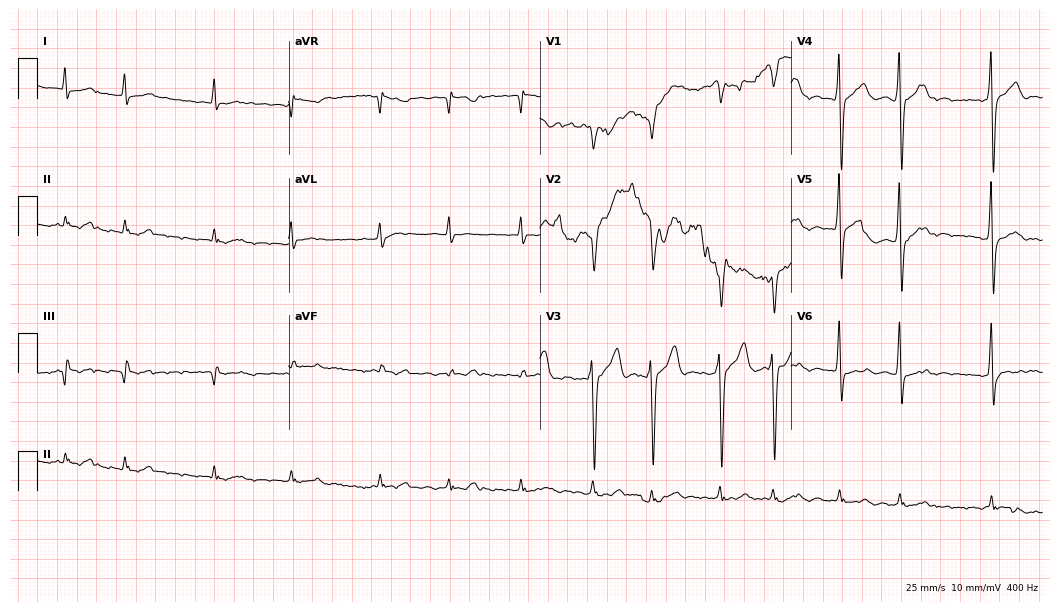
12-lead ECG from a 73-year-old male. Shows atrial fibrillation.